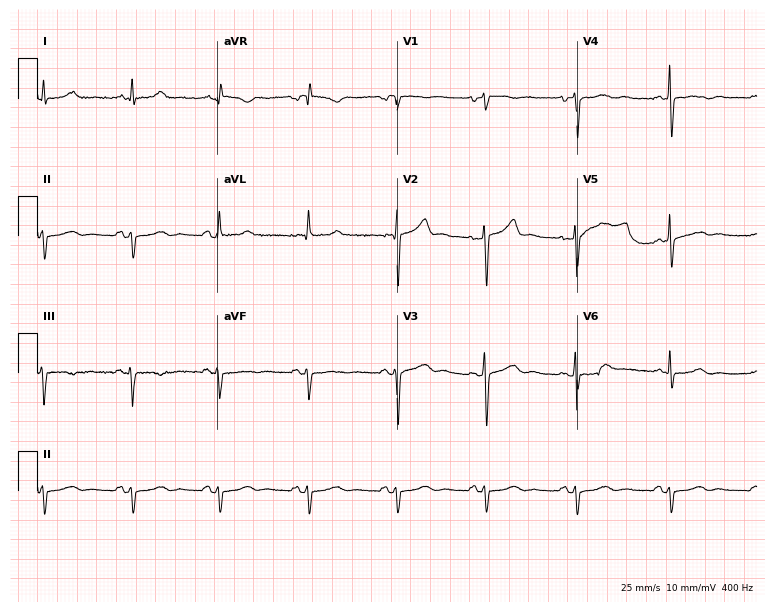
Standard 12-lead ECG recorded from a male patient, 65 years old. None of these six findings is recorded: first-degree AV block, right bundle branch block (RBBB), left bundle branch block (LBBB), sinus bradycardia, atrial fibrillation (AF), sinus tachycardia. Only these six findings were labelled.